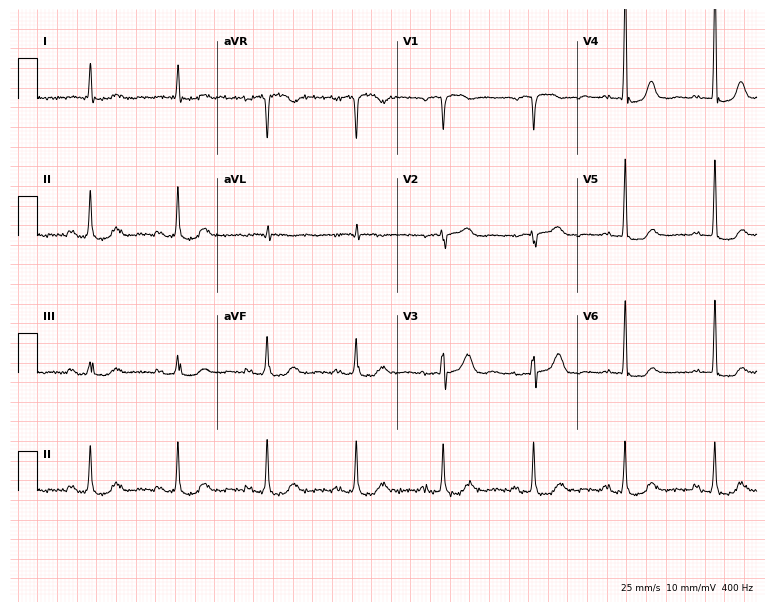
ECG (7.3-second recording at 400 Hz) — a female, 81 years old. Screened for six findings — first-degree AV block, right bundle branch block, left bundle branch block, sinus bradycardia, atrial fibrillation, sinus tachycardia — none is recorded. Other findings, if any, are not listed.